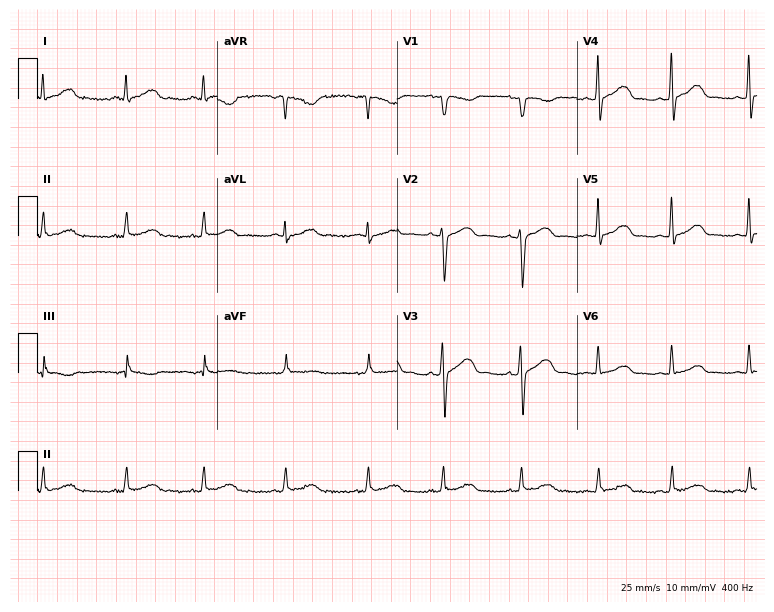
12-lead ECG from a woman, 36 years old. Labelled as a normal ECG.